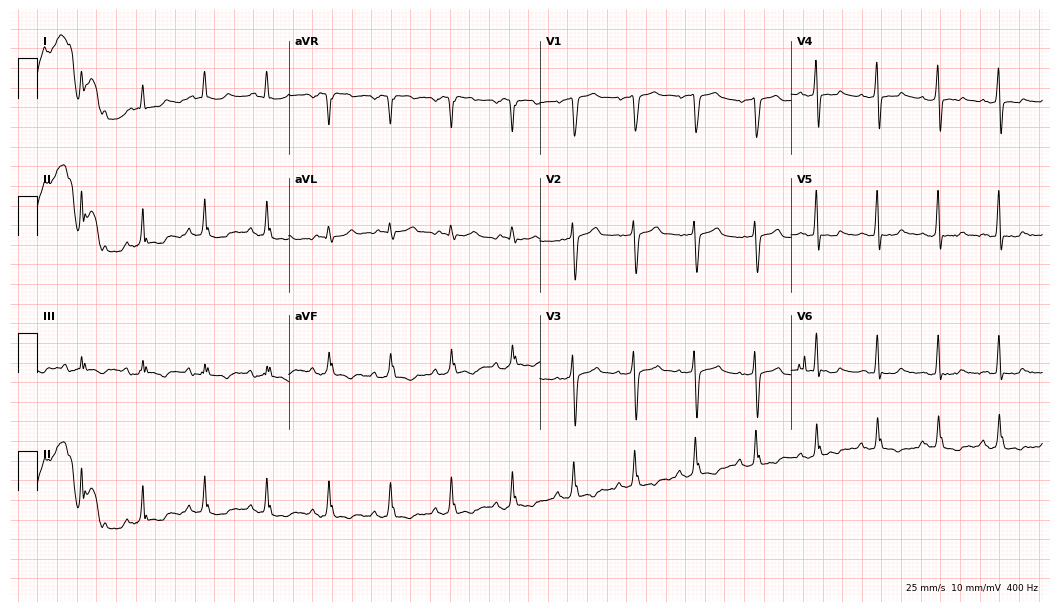
Standard 12-lead ECG recorded from a male, 70 years old. None of these six findings is recorded: first-degree AV block, right bundle branch block (RBBB), left bundle branch block (LBBB), sinus bradycardia, atrial fibrillation (AF), sinus tachycardia. Only these six findings were labelled.